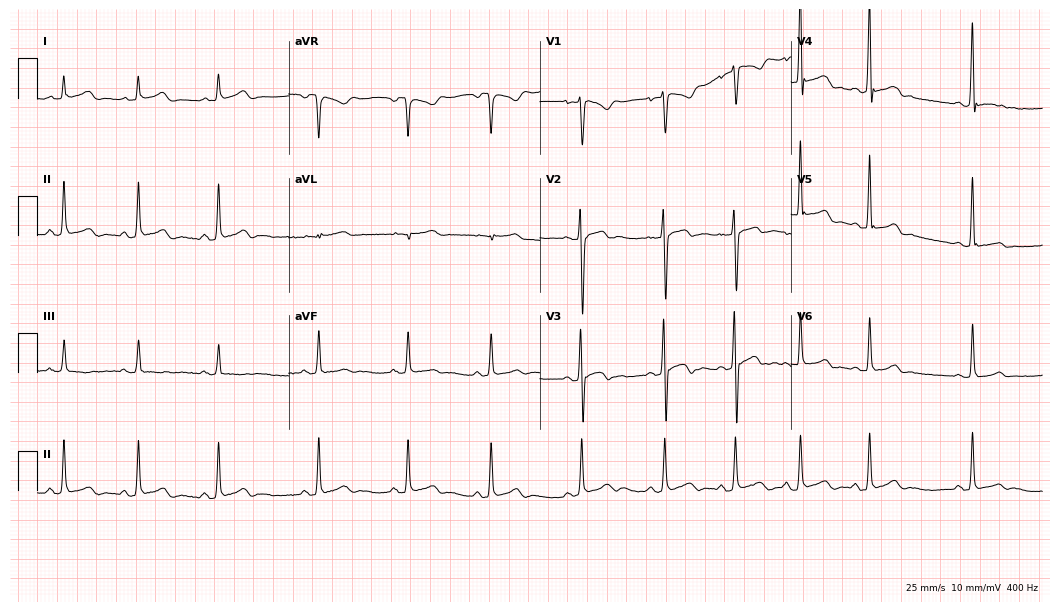
12-lead ECG from a 17-year-old man (10.2-second recording at 400 Hz). Recorded interpretation: within normal limits.